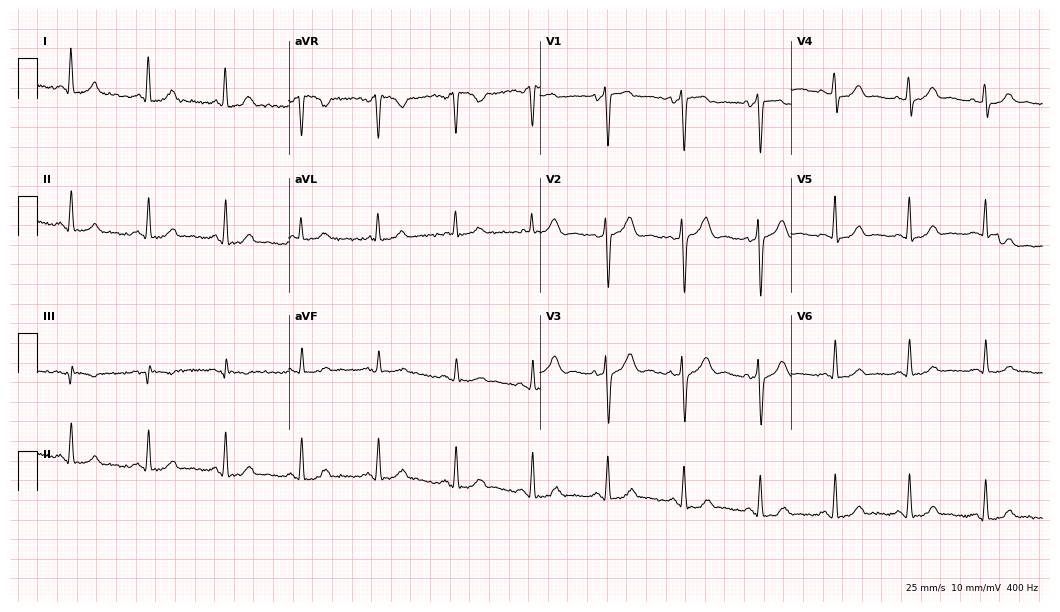
Standard 12-lead ECG recorded from a 52-year-old female (10.2-second recording at 400 Hz). Read as a normal ECG.